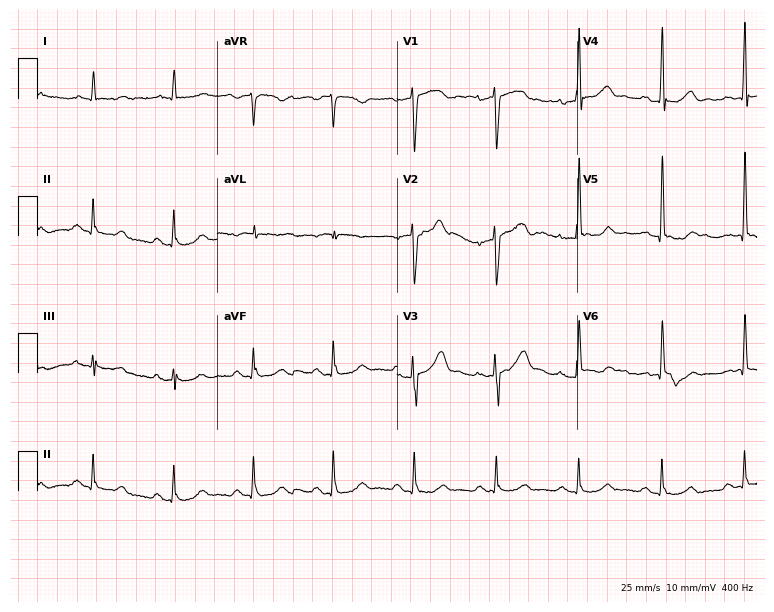
12-lead ECG from a 70-year-old male patient (7.3-second recording at 400 Hz). Recorded interpretation: within normal limits.